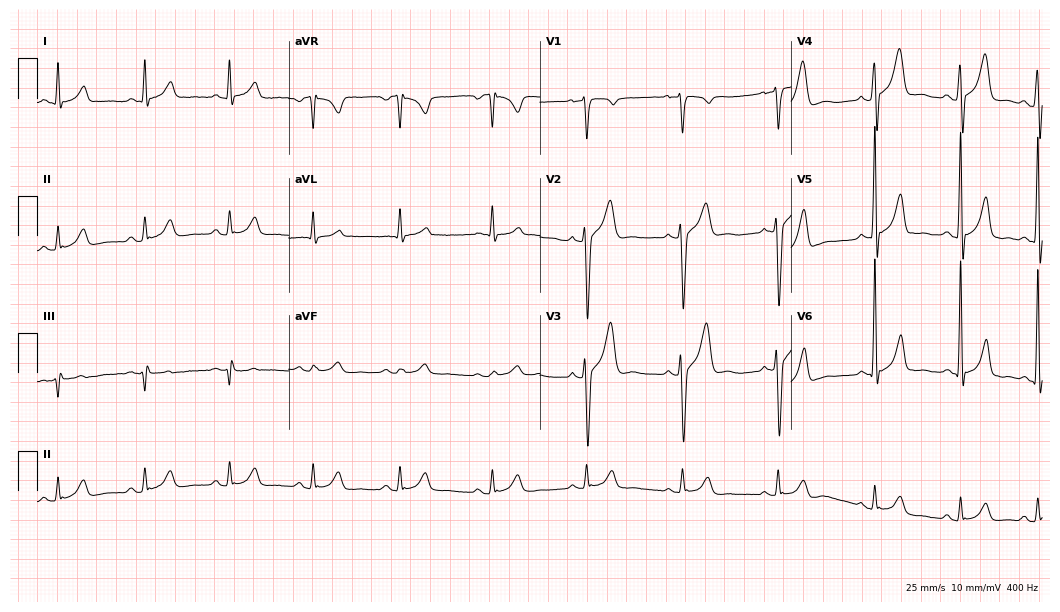
Resting 12-lead electrocardiogram (10.2-second recording at 400 Hz). Patient: a male, 44 years old. Read as a normal ECG.